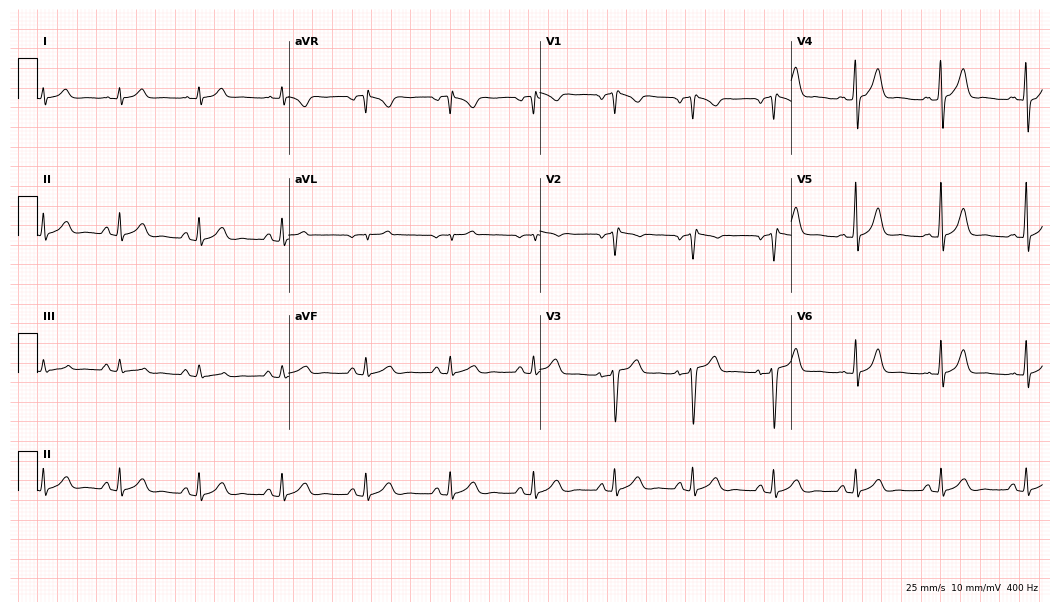
12-lead ECG from a 52-year-old male patient. No first-degree AV block, right bundle branch block, left bundle branch block, sinus bradycardia, atrial fibrillation or sinus tachycardia recorded for this tracing. Only these six findings were labelled.